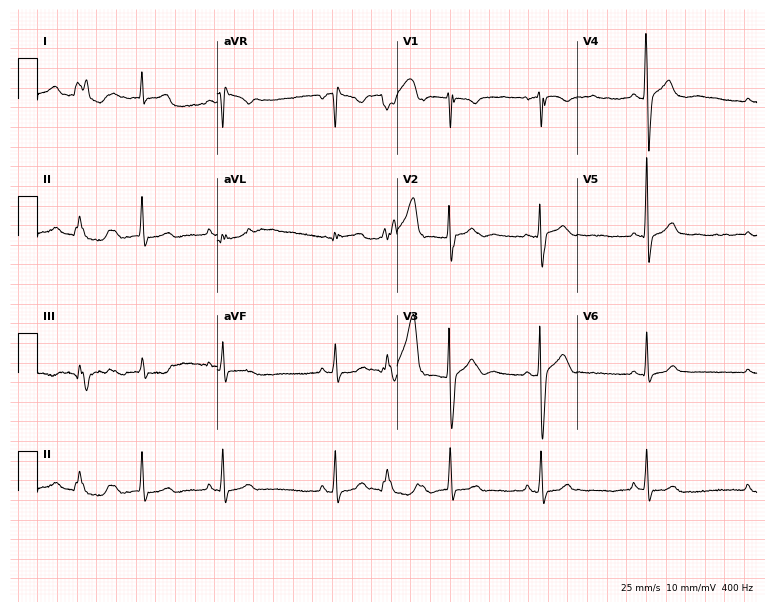
Electrocardiogram (7.3-second recording at 400 Hz), a female, 23 years old. Of the six screened findings (first-degree AV block, right bundle branch block, left bundle branch block, sinus bradycardia, atrial fibrillation, sinus tachycardia), none is recorded. Only these six findings were labelled.